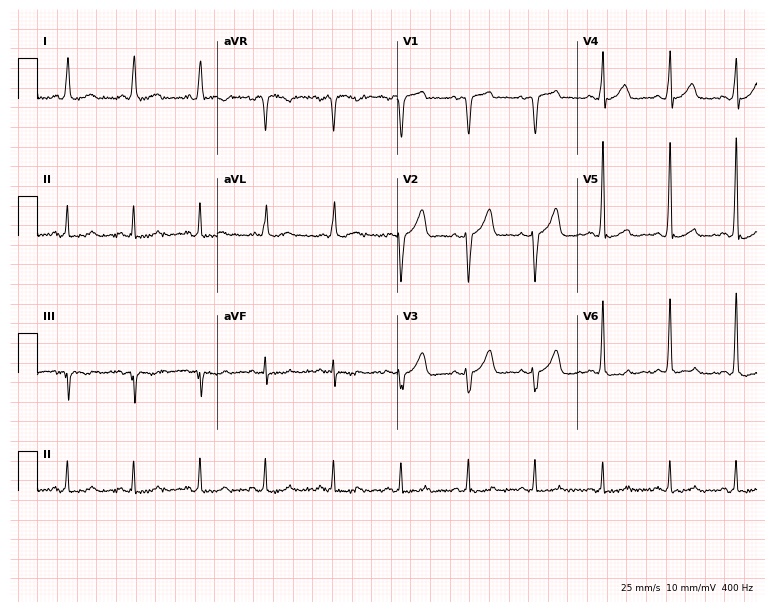
Resting 12-lead electrocardiogram (7.3-second recording at 400 Hz). Patient: a 74-year-old man. None of these six findings is recorded: first-degree AV block, right bundle branch block (RBBB), left bundle branch block (LBBB), sinus bradycardia, atrial fibrillation (AF), sinus tachycardia. Other findings, if any, are not listed.